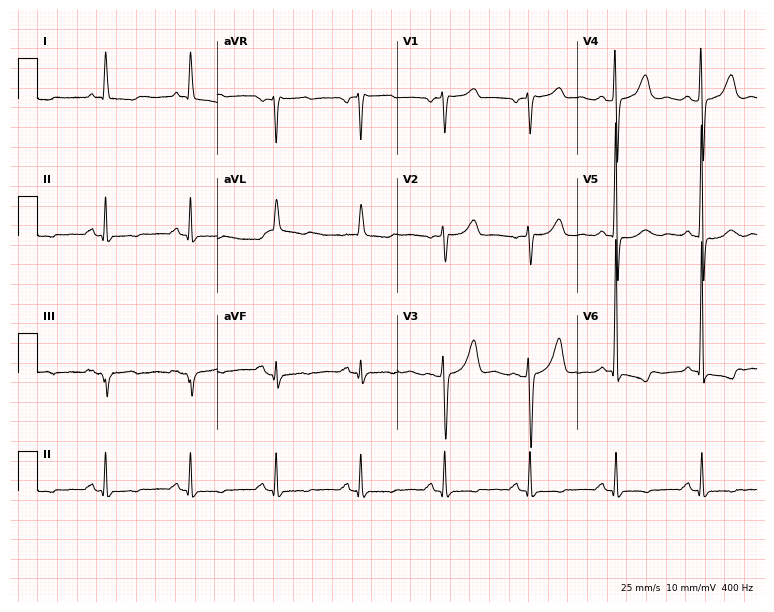
12-lead ECG from a 65-year-old female patient (7.3-second recording at 400 Hz). No first-degree AV block, right bundle branch block (RBBB), left bundle branch block (LBBB), sinus bradycardia, atrial fibrillation (AF) or sinus tachycardia recorded for this tracing.